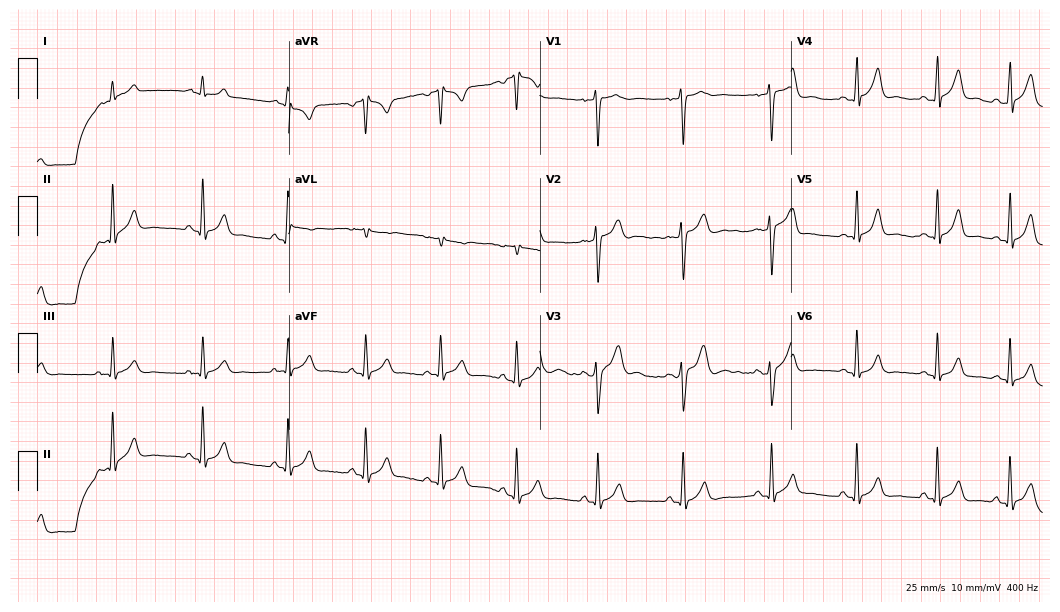
Standard 12-lead ECG recorded from a man, 20 years old. Read as a normal ECG.